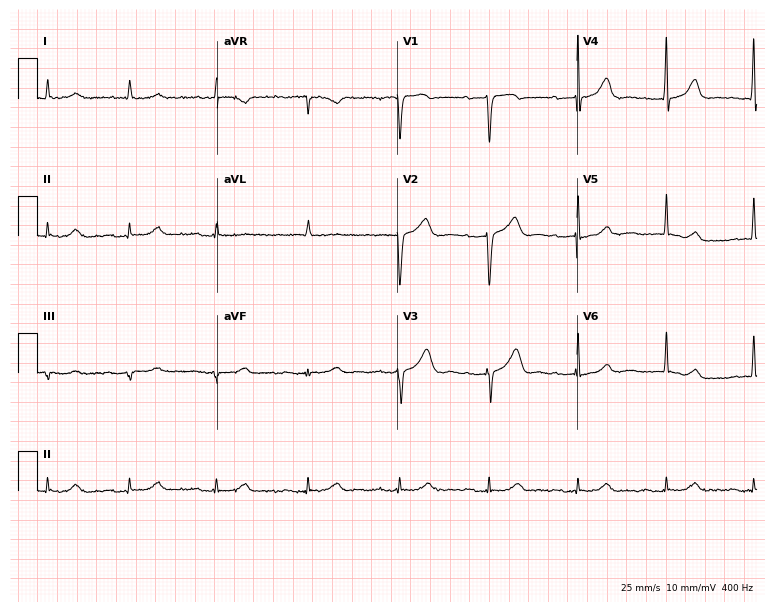
Standard 12-lead ECG recorded from a male patient, 85 years old (7.3-second recording at 400 Hz). None of these six findings is recorded: first-degree AV block, right bundle branch block (RBBB), left bundle branch block (LBBB), sinus bradycardia, atrial fibrillation (AF), sinus tachycardia.